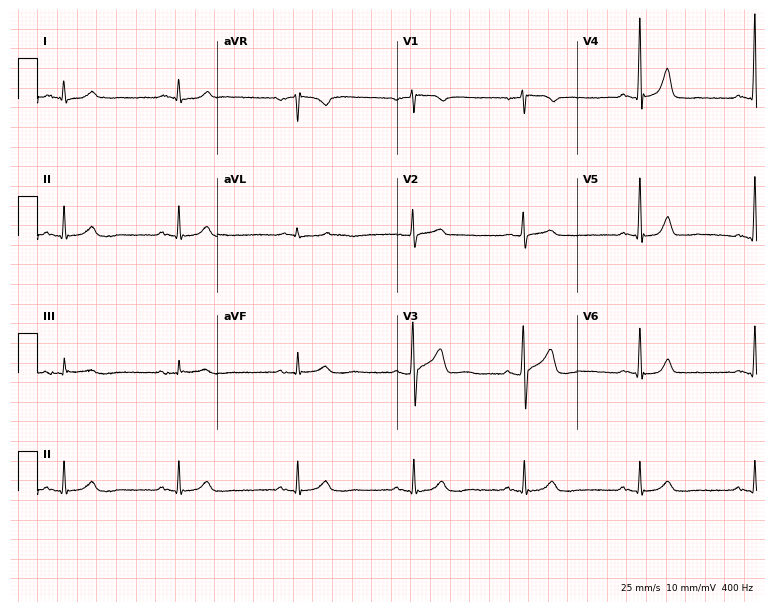
Standard 12-lead ECG recorded from a 44-year-old man (7.3-second recording at 400 Hz). None of these six findings is recorded: first-degree AV block, right bundle branch block, left bundle branch block, sinus bradycardia, atrial fibrillation, sinus tachycardia. Findings outside these six are not listed.